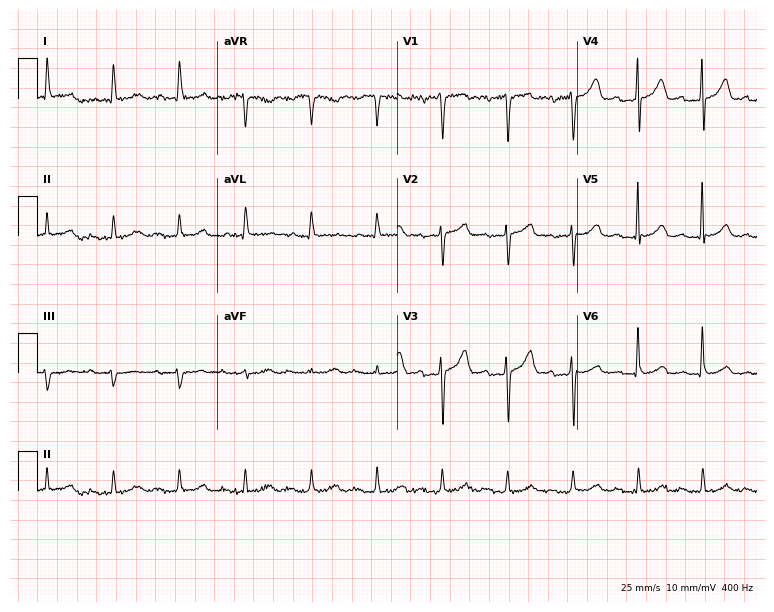
12-lead ECG from an 80-year-old male. Screened for six findings — first-degree AV block, right bundle branch block, left bundle branch block, sinus bradycardia, atrial fibrillation, sinus tachycardia — none is recorded.